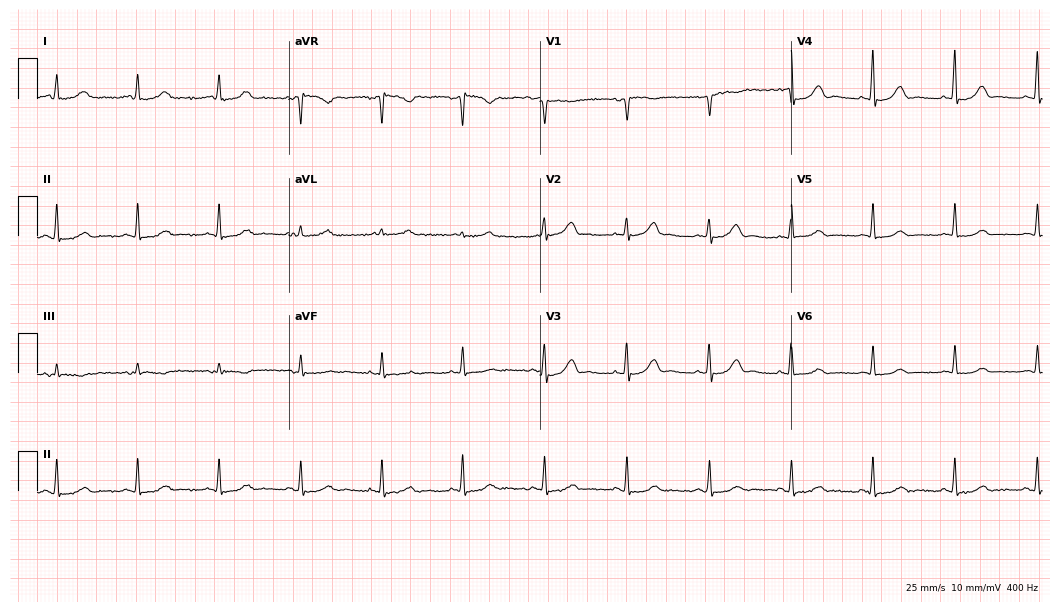
12-lead ECG from a female, 58 years old. Screened for six findings — first-degree AV block, right bundle branch block, left bundle branch block, sinus bradycardia, atrial fibrillation, sinus tachycardia — none is recorded.